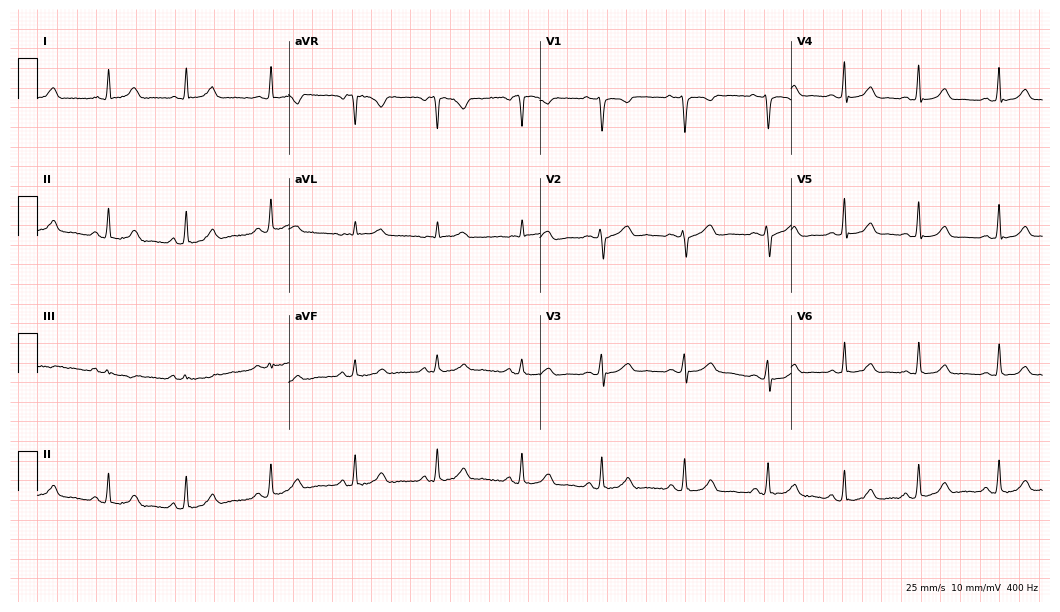
Electrocardiogram, a female, 25 years old. Of the six screened findings (first-degree AV block, right bundle branch block, left bundle branch block, sinus bradycardia, atrial fibrillation, sinus tachycardia), none is recorded.